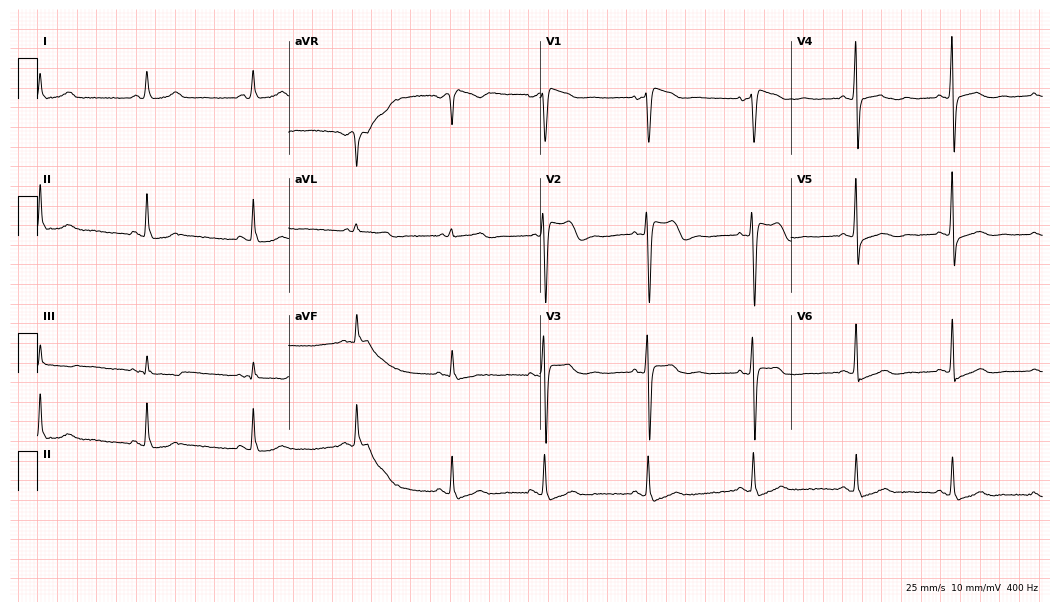
12-lead ECG (10.2-second recording at 400 Hz) from a female patient, 61 years old. Screened for six findings — first-degree AV block, right bundle branch block, left bundle branch block, sinus bradycardia, atrial fibrillation, sinus tachycardia — none is recorded.